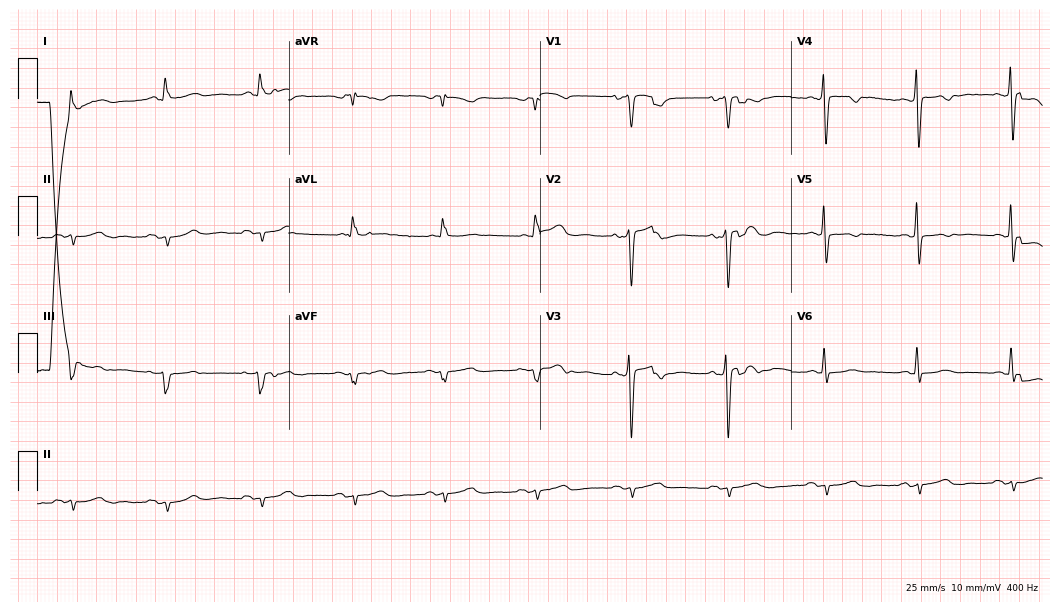
ECG — a 45-year-old man. Screened for six findings — first-degree AV block, right bundle branch block, left bundle branch block, sinus bradycardia, atrial fibrillation, sinus tachycardia — none is recorded. Other findings, if any, are not listed.